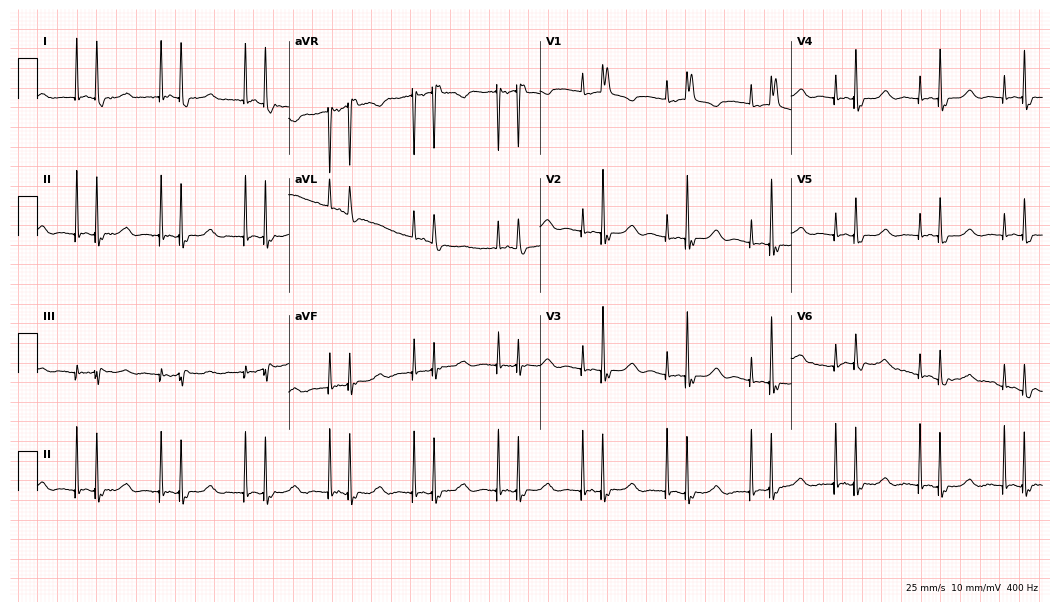
Standard 12-lead ECG recorded from a female patient, 84 years old (10.2-second recording at 400 Hz). None of these six findings is recorded: first-degree AV block, right bundle branch block, left bundle branch block, sinus bradycardia, atrial fibrillation, sinus tachycardia. Other findings, if any, are not listed.